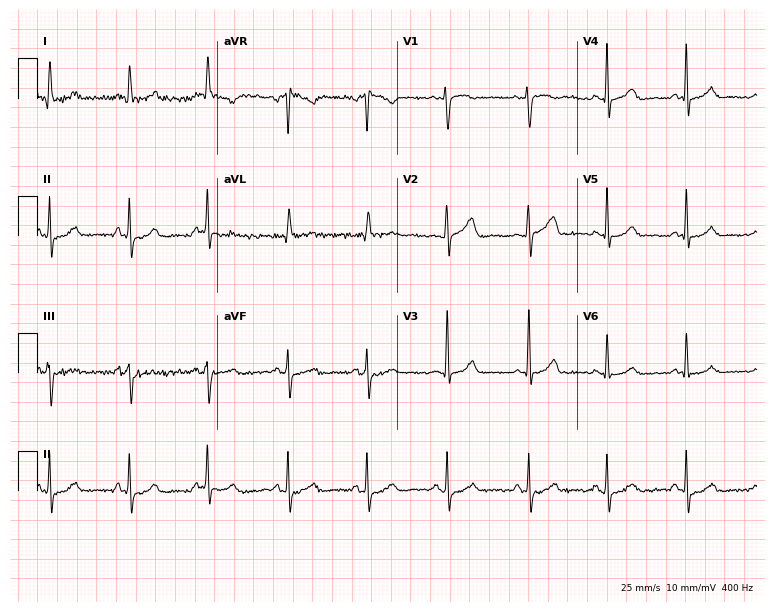
Electrocardiogram, a female, 29 years old. Overall reading on record: normal ECG.